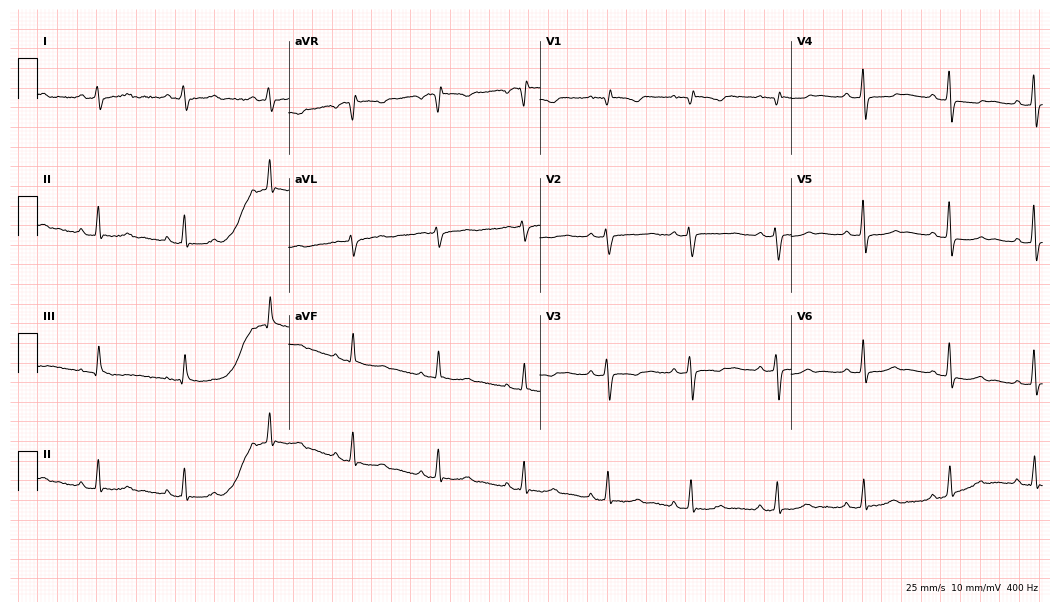
12-lead ECG from a 38-year-old woman. Screened for six findings — first-degree AV block, right bundle branch block, left bundle branch block, sinus bradycardia, atrial fibrillation, sinus tachycardia — none is recorded. Only these six findings were labelled.